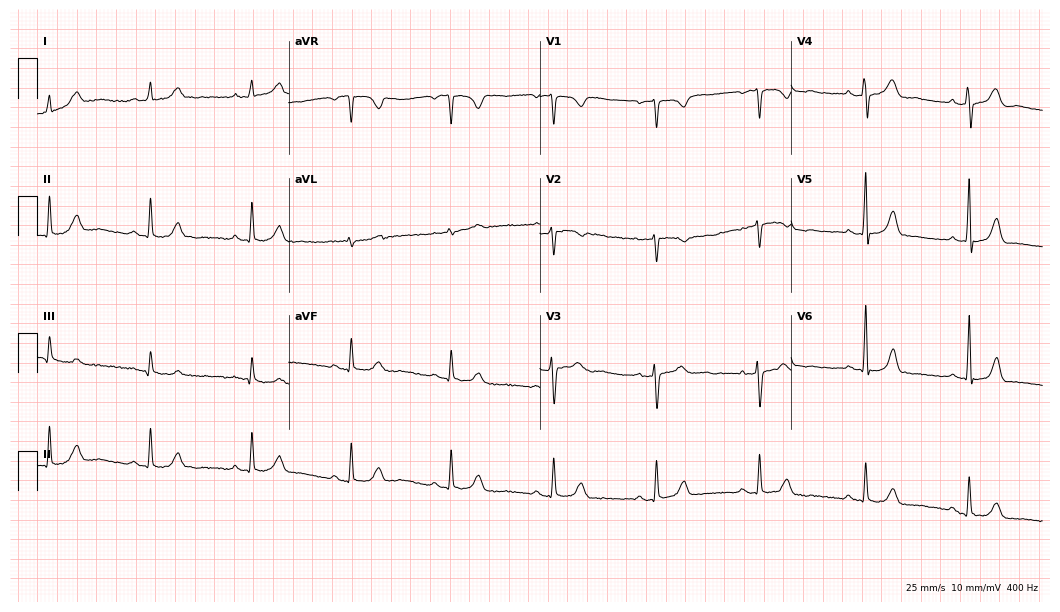
Standard 12-lead ECG recorded from a 44-year-old woman. Read as a normal ECG.